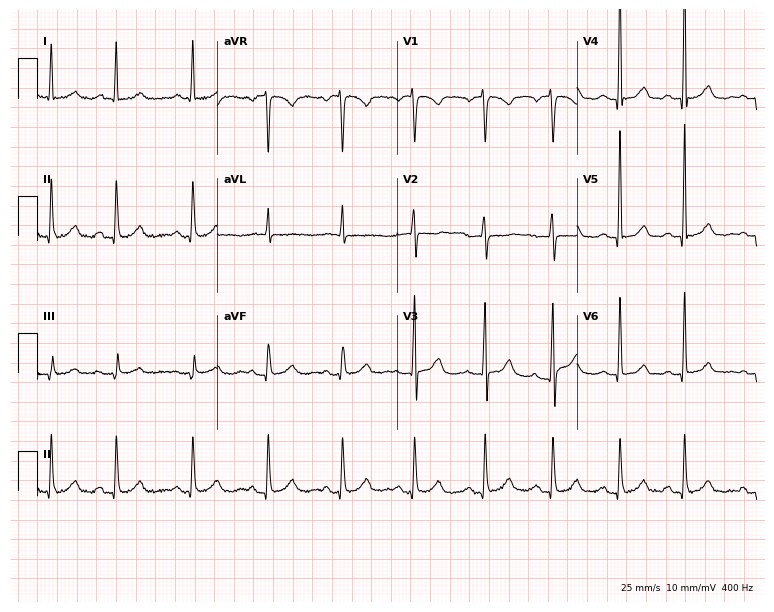
Standard 12-lead ECG recorded from a female, 70 years old. None of these six findings is recorded: first-degree AV block, right bundle branch block, left bundle branch block, sinus bradycardia, atrial fibrillation, sinus tachycardia.